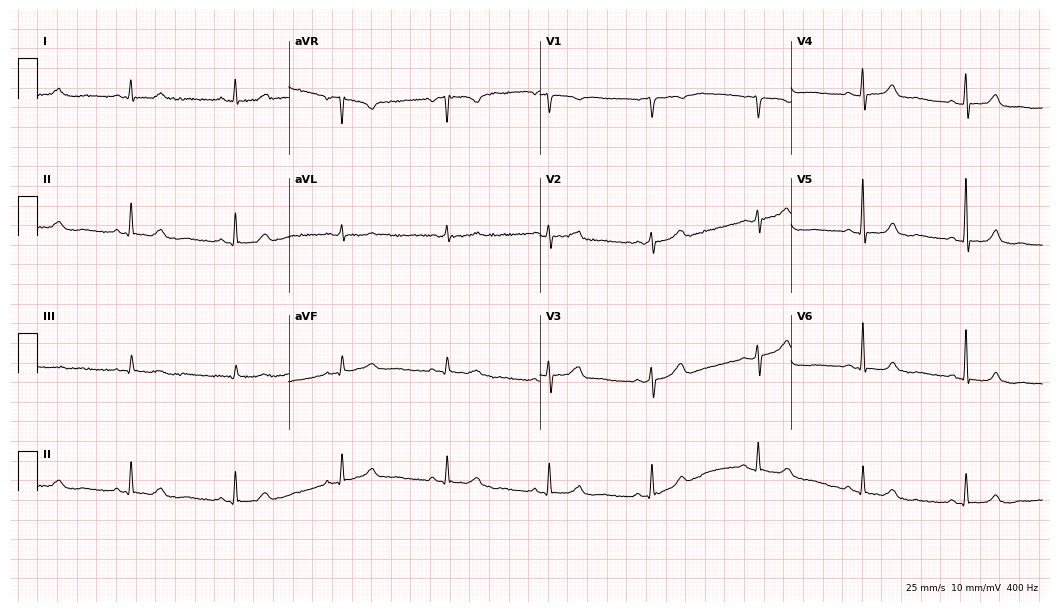
12-lead ECG from a female patient, 61 years old. Labelled as a normal ECG.